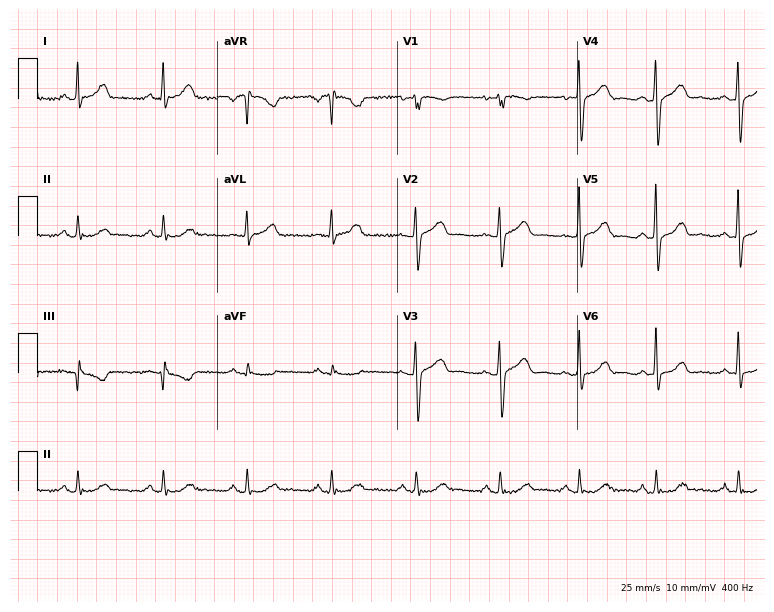
Resting 12-lead electrocardiogram (7.3-second recording at 400 Hz). Patient: a 49-year-old female. None of these six findings is recorded: first-degree AV block, right bundle branch block (RBBB), left bundle branch block (LBBB), sinus bradycardia, atrial fibrillation (AF), sinus tachycardia. Other findings, if any, are not listed.